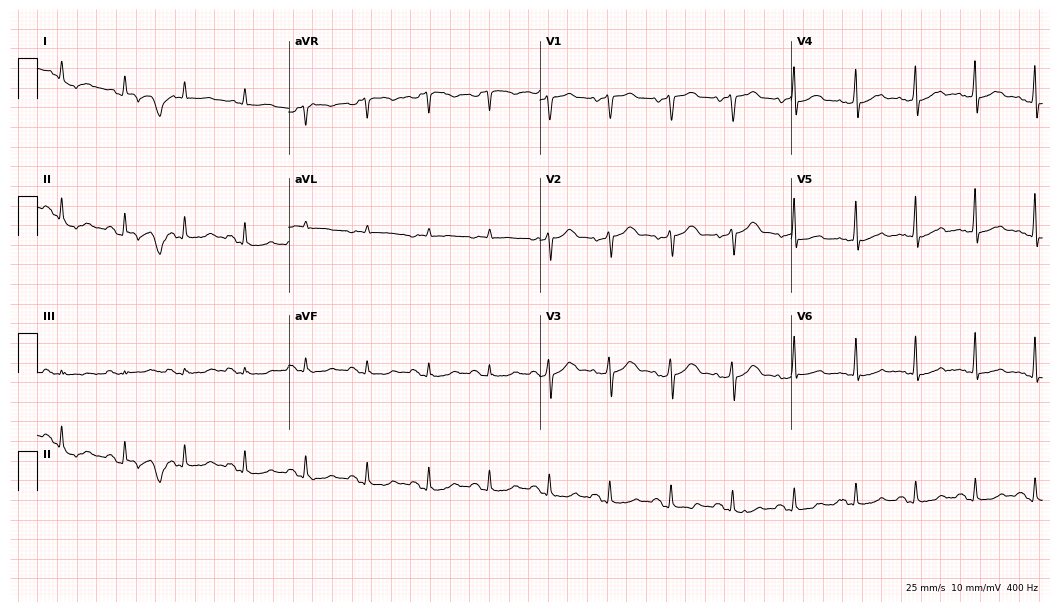
12-lead ECG (10.2-second recording at 400 Hz) from a man, 67 years old. Labelled as a normal ECG.